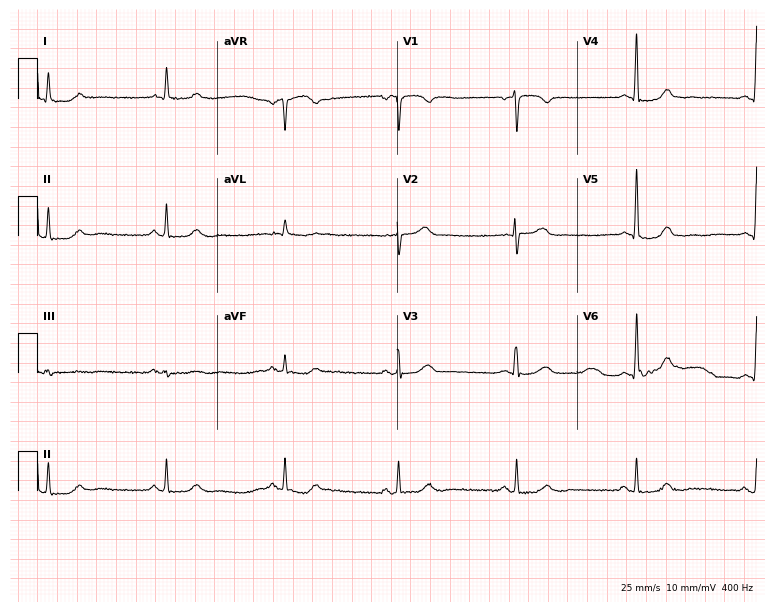
Electrocardiogram, a 55-year-old female. Interpretation includes sinus bradycardia (a sinus rate of 50 beats per minute or less).